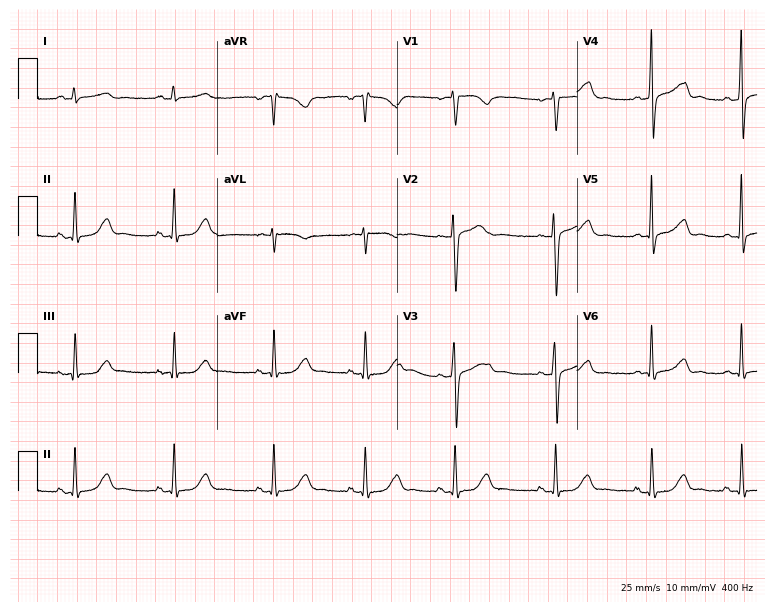
Resting 12-lead electrocardiogram. Patient: a female, 46 years old. Read as a normal ECG.